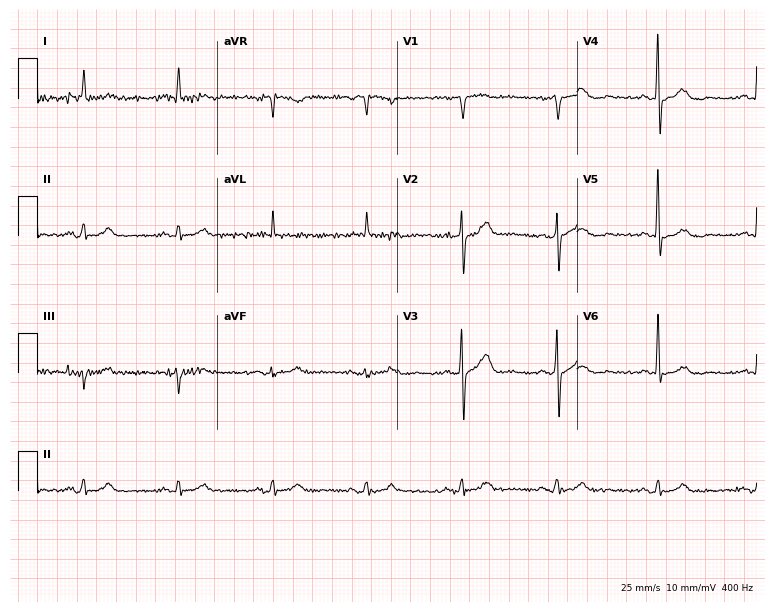
12-lead ECG from an 80-year-old man. Labelled as a normal ECG.